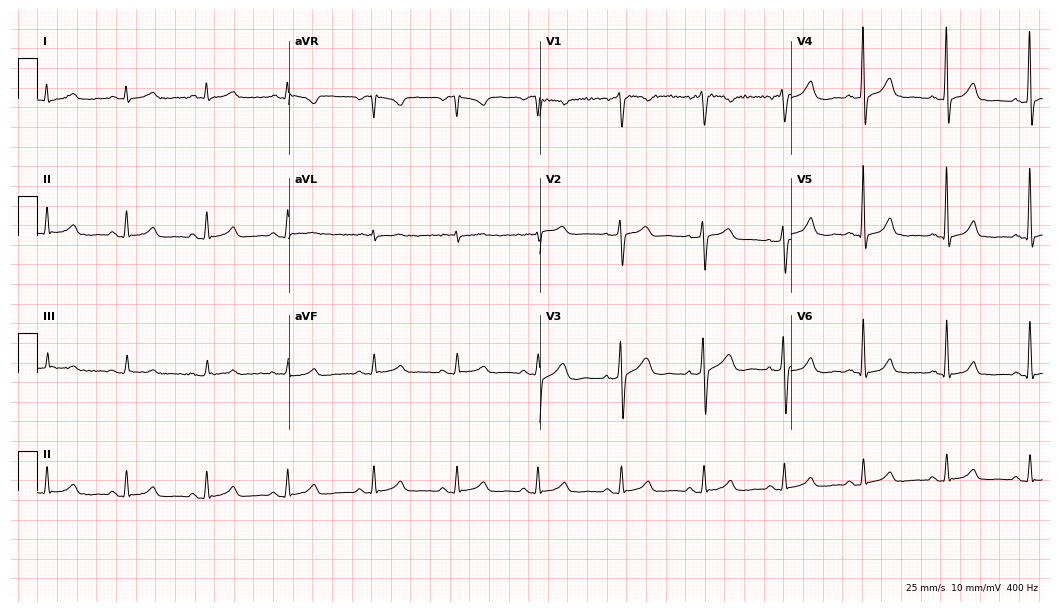
12-lead ECG (10.2-second recording at 400 Hz) from a man, 45 years old. Screened for six findings — first-degree AV block, right bundle branch block, left bundle branch block, sinus bradycardia, atrial fibrillation, sinus tachycardia — none is recorded. Only these six findings were labelled.